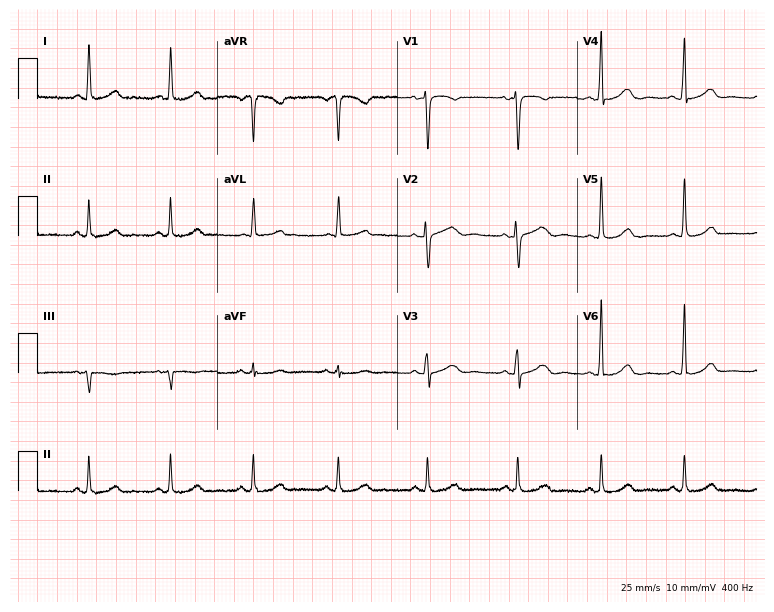
12-lead ECG from a 64-year-old woman. Labelled as a normal ECG.